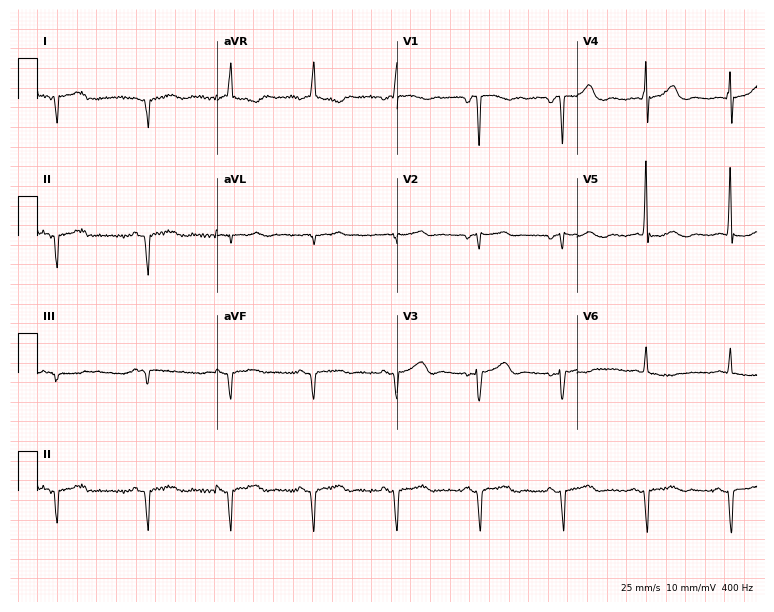
ECG — a female, 83 years old. Screened for six findings — first-degree AV block, right bundle branch block (RBBB), left bundle branch block (LBBB), sinus bradycardia, atrial fibrillation (AF), sinus tachycardia — none is recorded.